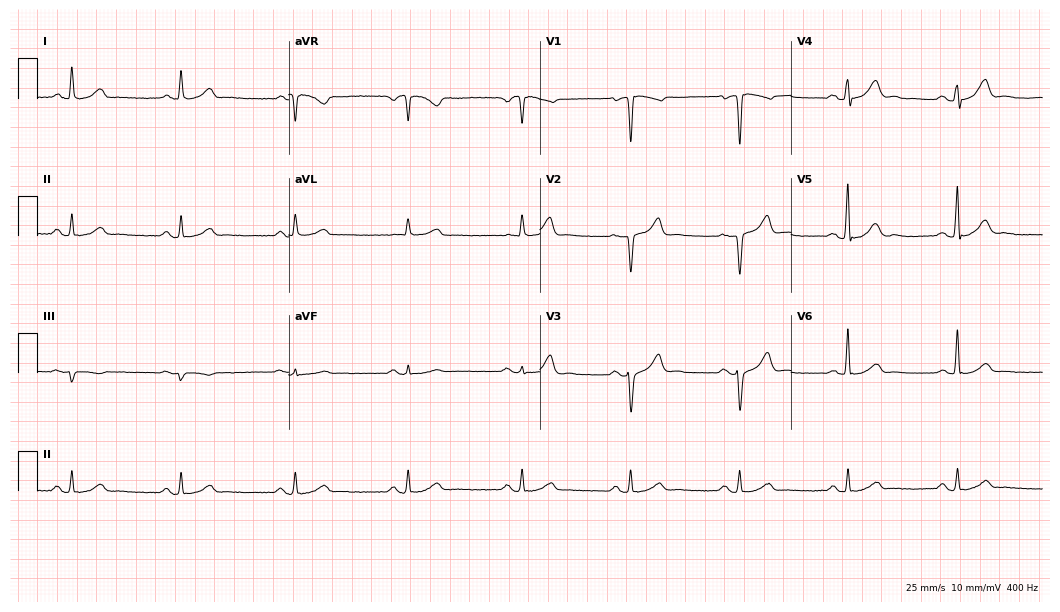
12-lead ECG from a male, 53 years old. Screened for six findings — first-degree AV block, right bundle branch block (RBBB), left bundle branch block (LBBB), sinus bradycardia, atrial fibrillation (AF), sinus tachycardia — none is recorded.